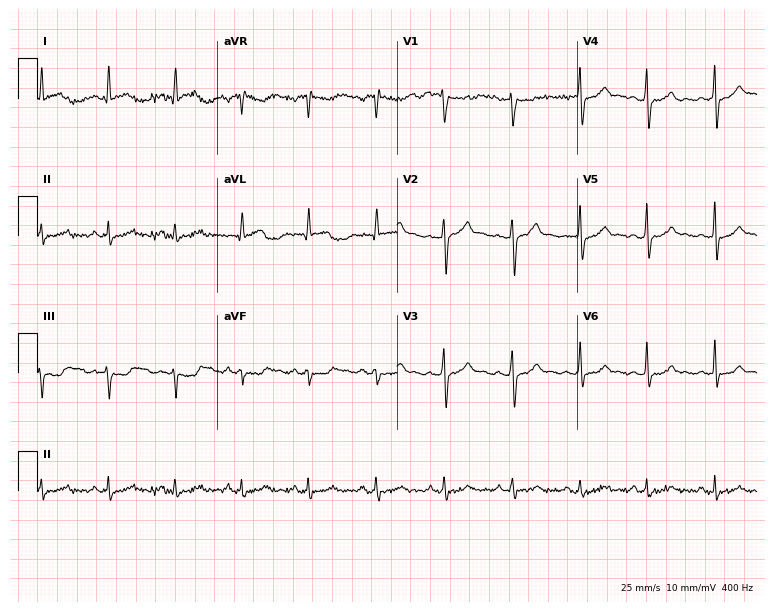
ECG — a male, 41 years old. Labelled as a normal ECG.